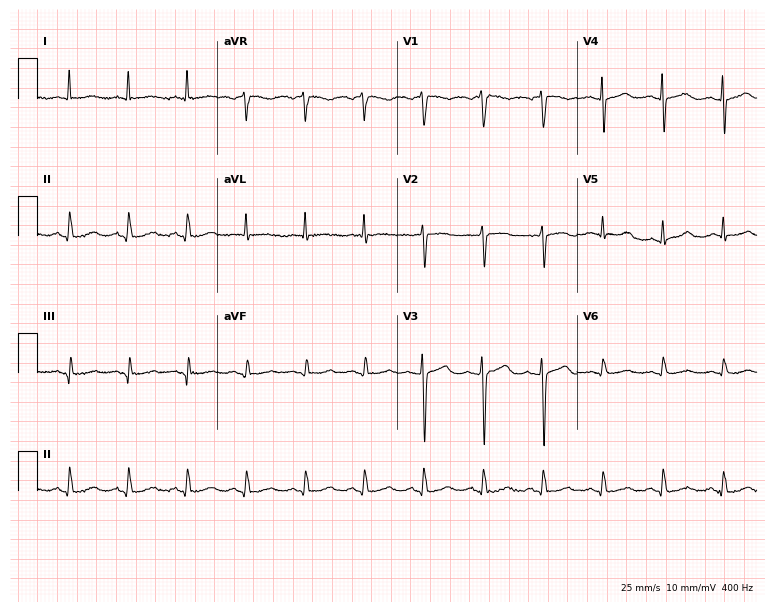
Resting 12-lead electrocardiogram. Patient: a 56-year-old female. Read as a normal ECG.